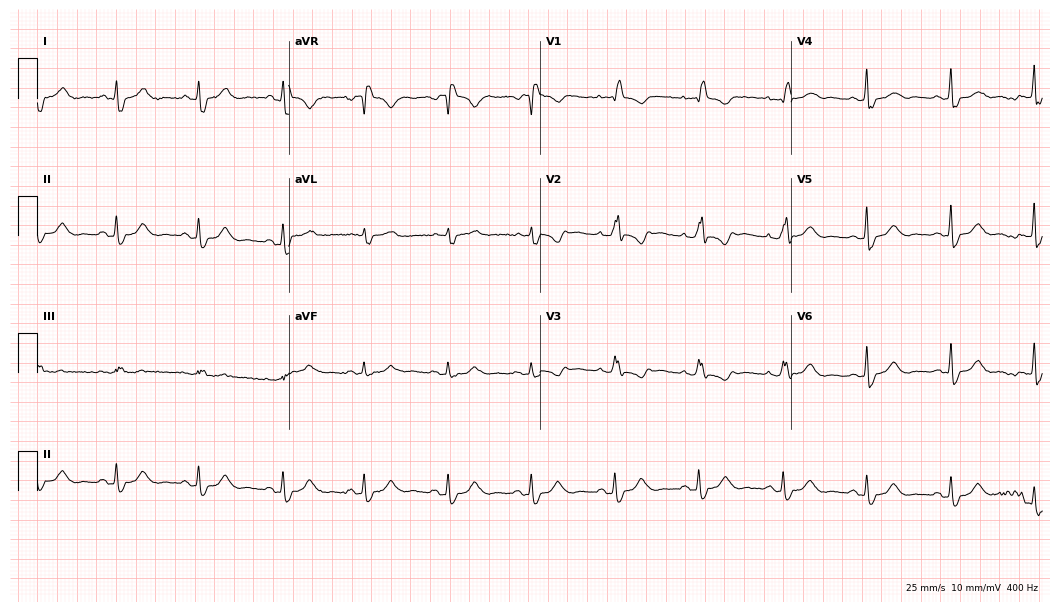
Resting 12-lead electrocardiogram (10.2-second recording at 400 Hz). Patient: a woman, 71 years old. The tracing shows right bundle branch block.